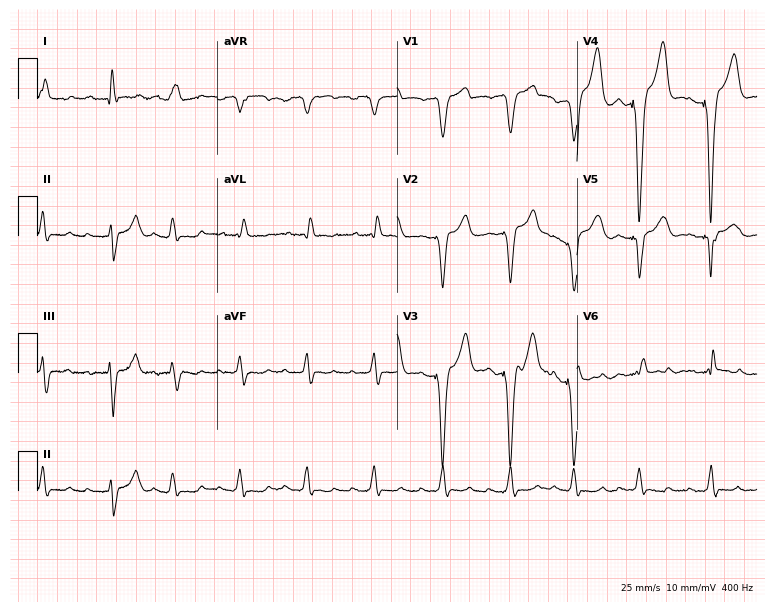
Resting 12-lead electrocardiogram. Patient: a female, 41 years old. None of these six findings is recorded: first-degree AV block, right bundle branch block, left bundle branch block, sinus bradycardia, atrial fibrillation, sinus tachycardia.